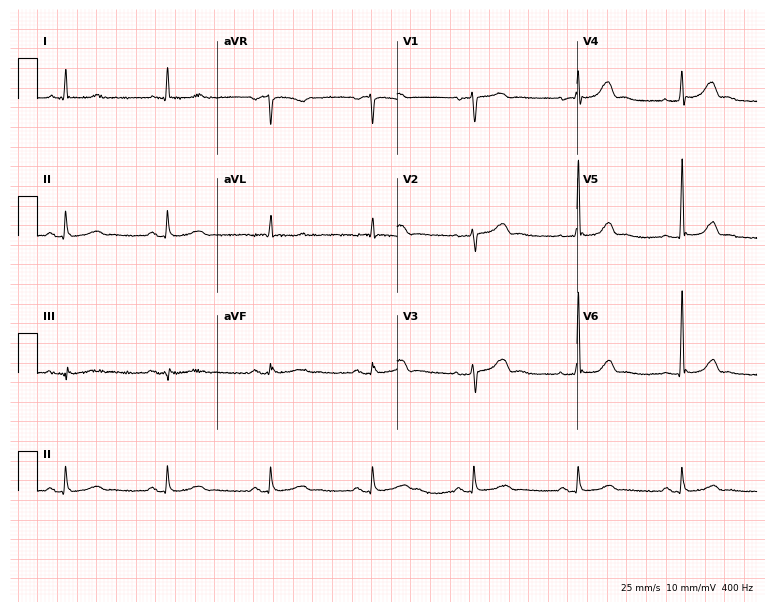
Electrocardiogram, a 64-year-old female patient. Of the six screened findings (first-degree AV block, right bundle branch block (RBBB), left bundle branch block (LBBB), sinus bradycardia, atrial fibrillation (AF), sinus tachycardia), none is recorded.